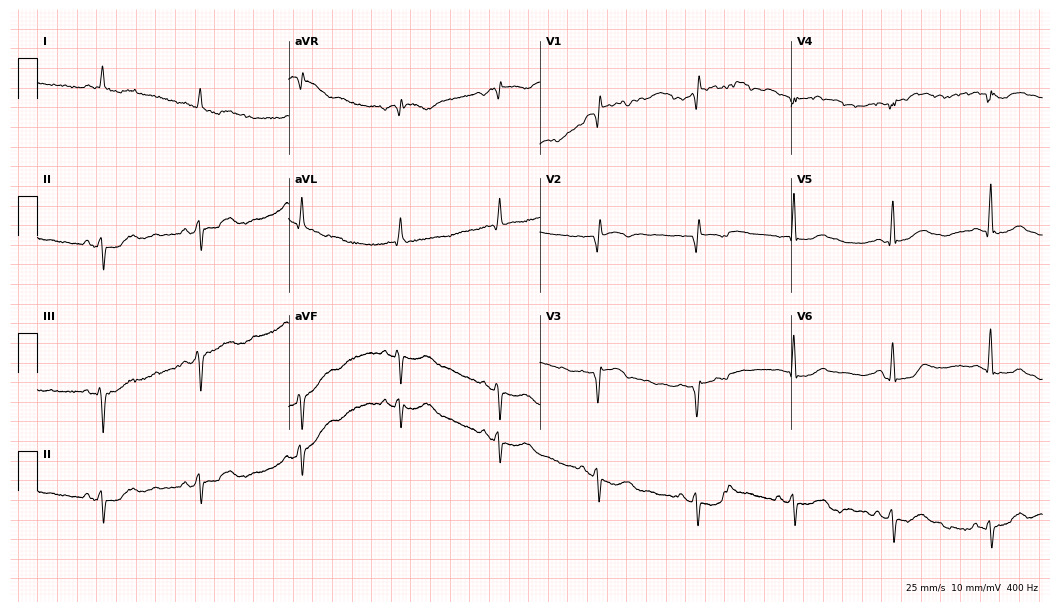
ECG (10.2-second recording at 400 Hz) — a female patient, 69 years old. Screened for six findings — first-degree AV block, right bundle branch block (RBBB), left bundle branch block (LBBB), sinus bradycardia, atrial fibrillation (AF), sinus tachycardia — none is recorded. Other findings, if any, are not listed.